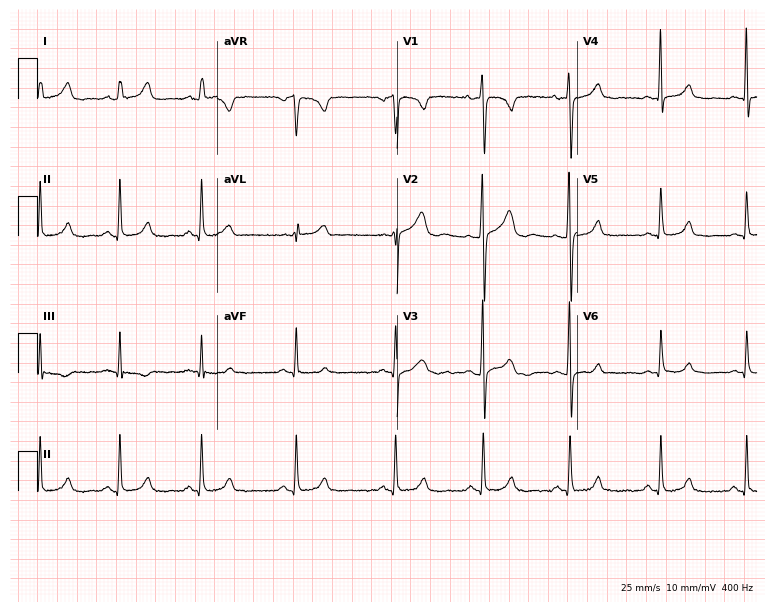
12-lead ECG from a female patient, 30 years old. Screened for six findings — first-degree AV block, right bundle branch block, left bundle branch block, sinus bradycardia, atrial fibrillation, sinus tachycardia — none is recorded. Findings outside these six are not listed.